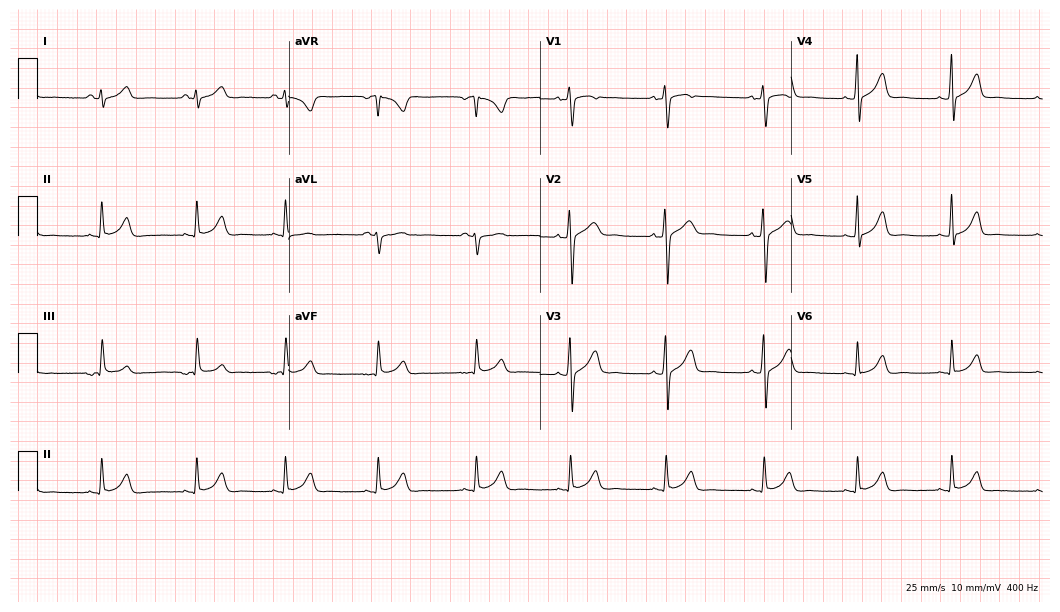
ECG — an 18-year-old female patient. Labelled as a normal ECG.